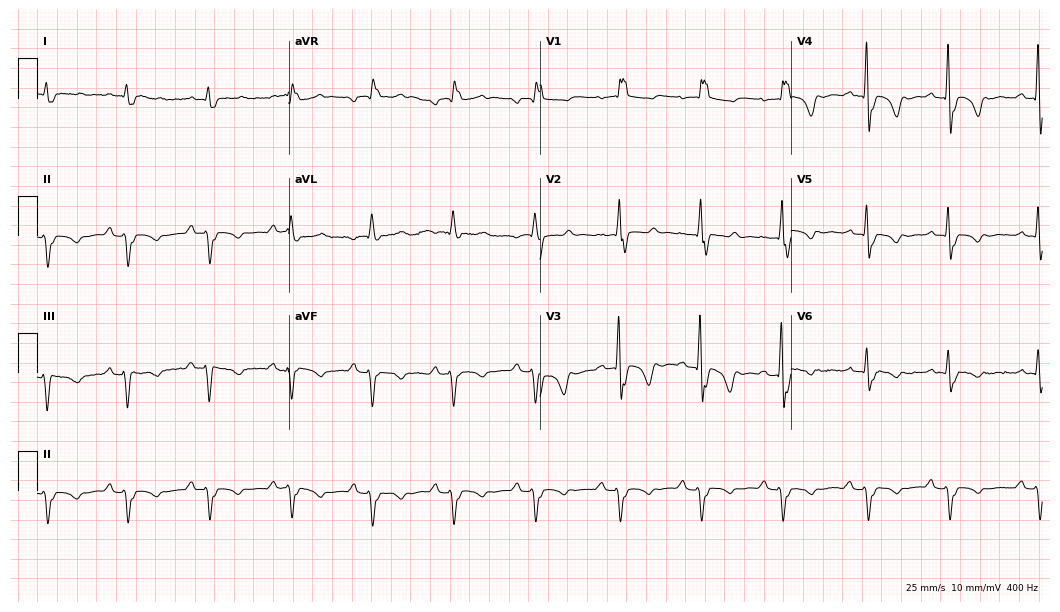
12-lead ECG from a male patient, 80 years old. Findings include right bundle branch block.